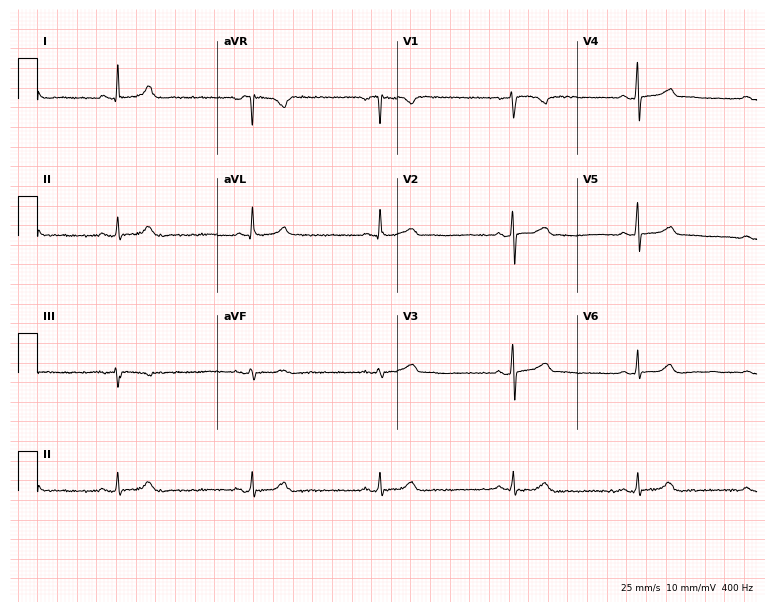
12-lead ECG from a male patient, 45 years old (7.3-second recording at 400 Hz). Shows sinus bradycardia (a sinus rate of 50 beats per minute or less).